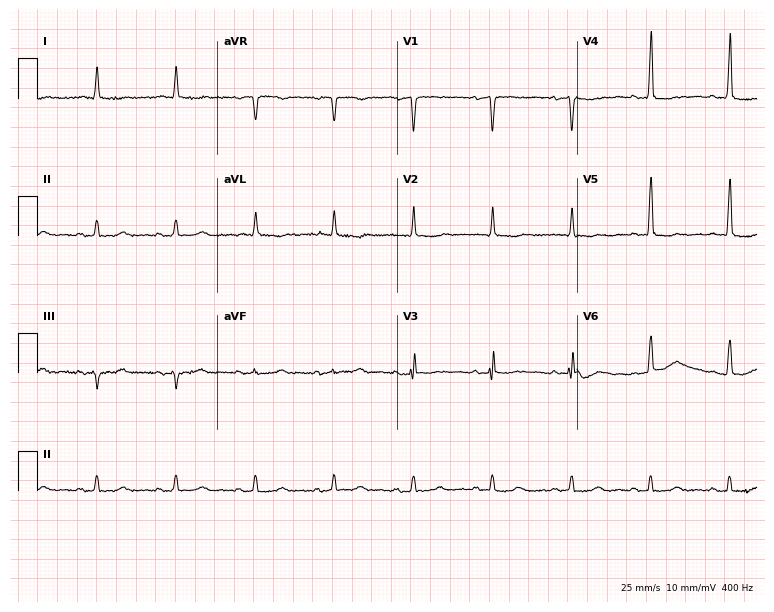
Standard 12-lead ECG recorded from a female patient, 85 years old. None of these six findings is recorded: first-degree AV block, right bundle branch block, left bundle branch block, sinus bradycardia, atrial fibrillation, sinus tachycardia.